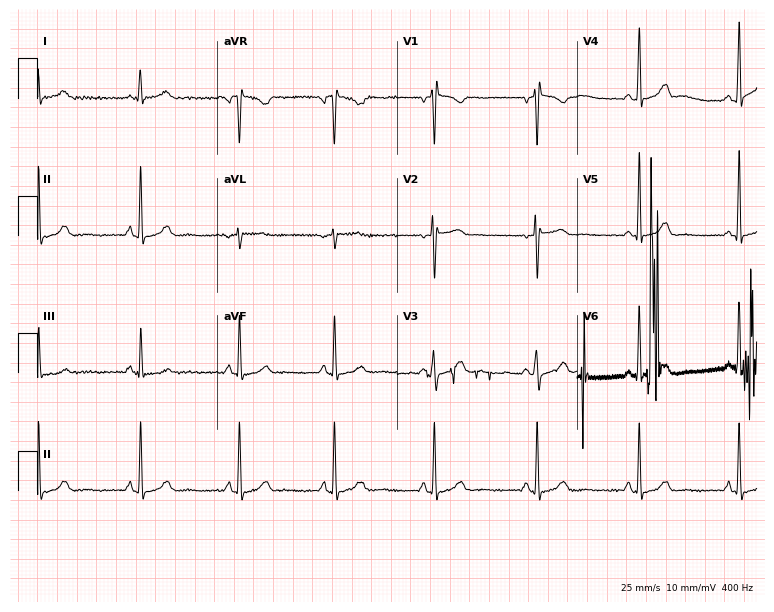
Resting 12-lead electrocardiogram. Patient: a female, 35 years old. None of these six findings is recorded: first-degree AV block, right bundle branch block, left bundle branch block, sinus bradycardia, atrial fibrillation, sinus tachycardia. Only these six findings were labelled.